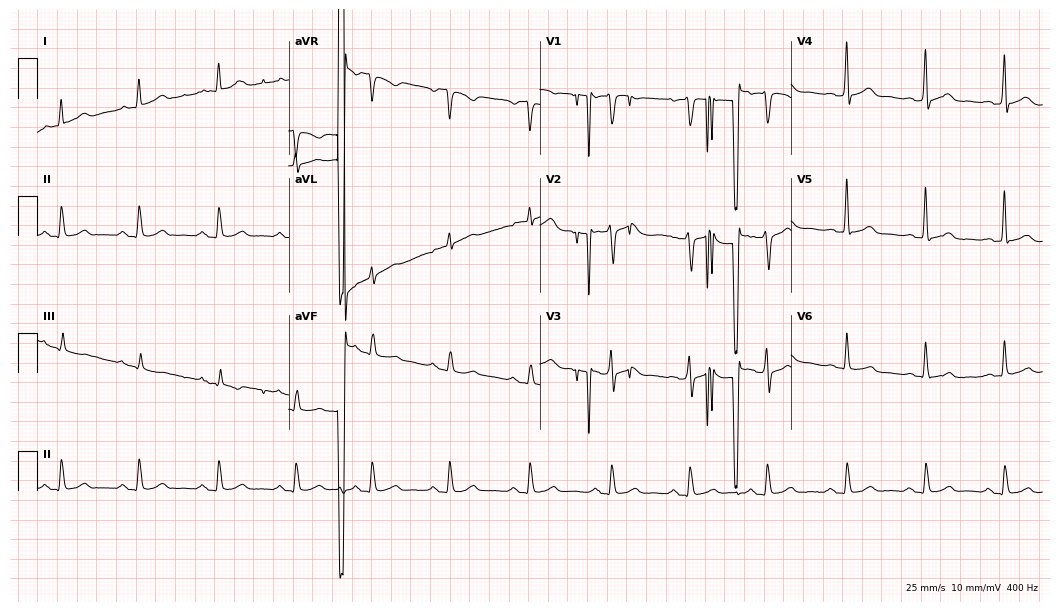
Standard 12-lead ECG recorded from a man, 73 years old (10.2-second recording at 400 Hz). None of these six findings is recorded: first-degree AV block, right bundle branch block (RBBB), left bundle branch block (LBBB), sinus bradycardia, atrial fibrillation (AF), sinus tachycardia. Findings outside these six are not listed.